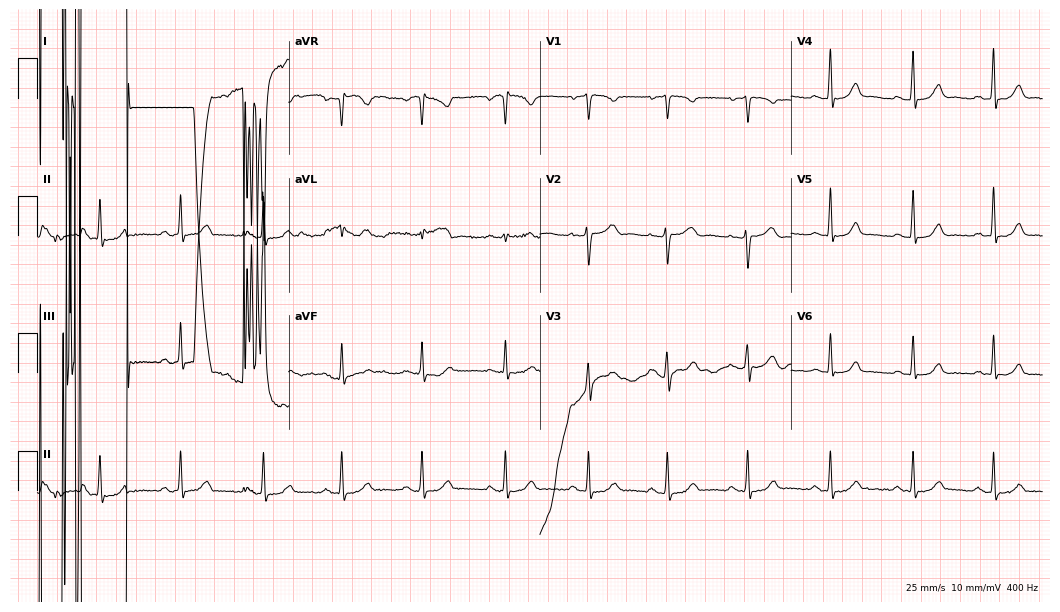
Standard 12-lead ECG recorded from a female, 32 years old. None of these six findings is recorded: first-degree AV block, right bundle branch block, left bundle branch block, sinus bradycardia, atrial fibrillation, sinus tachycardia.